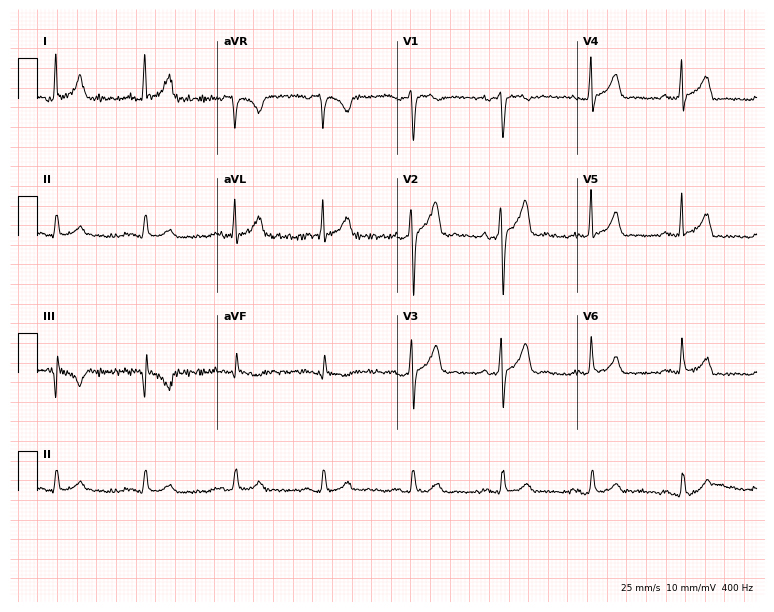
Resting 12-lead electrocardiogram. Patient: a male, 46 years old. Read as a normal ECG.